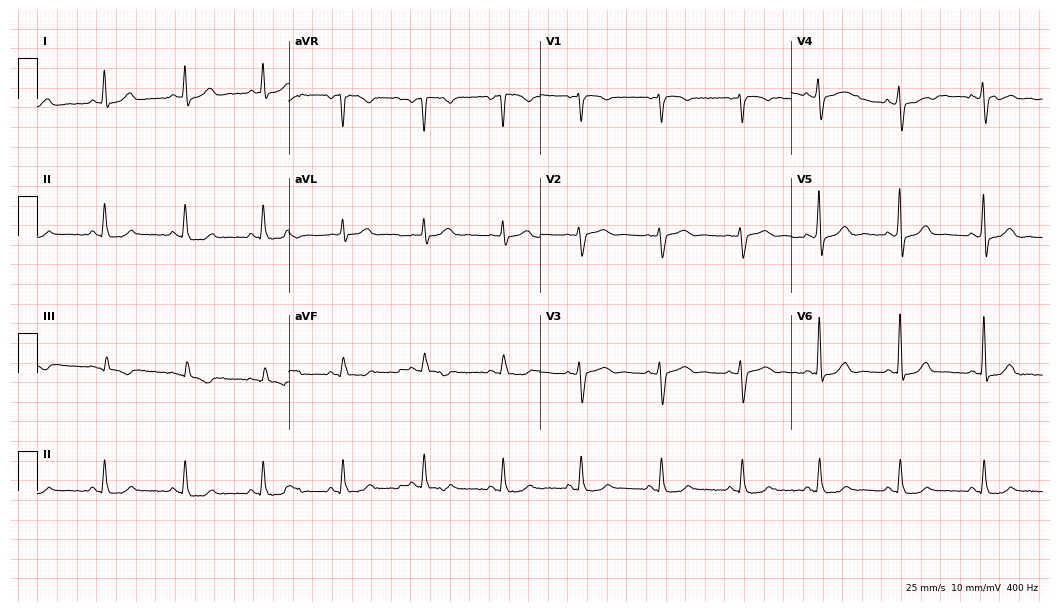
ECG — a 66-year-old male. Screened for six findings — first-degree AV block, right bundle branch block, left bundle branch block, sinus bradycardia, atrial fibrillation, sinus tachycardia — none is recorded. Only these six findings were labelled.